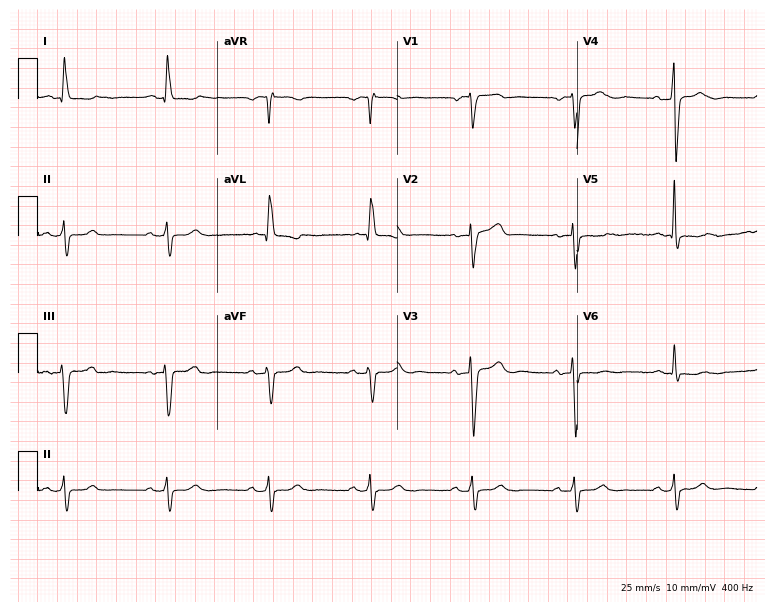
12-lead ECG from a female patient, 71 years old. No first-degree AV block, right bundle branch block (RBBB), left bundle branch block (LBBB), sinus bradycardia, atrial fibrillation (AF) or sinus tachycardia recorded for this tracing. Only these six findings were labelled.